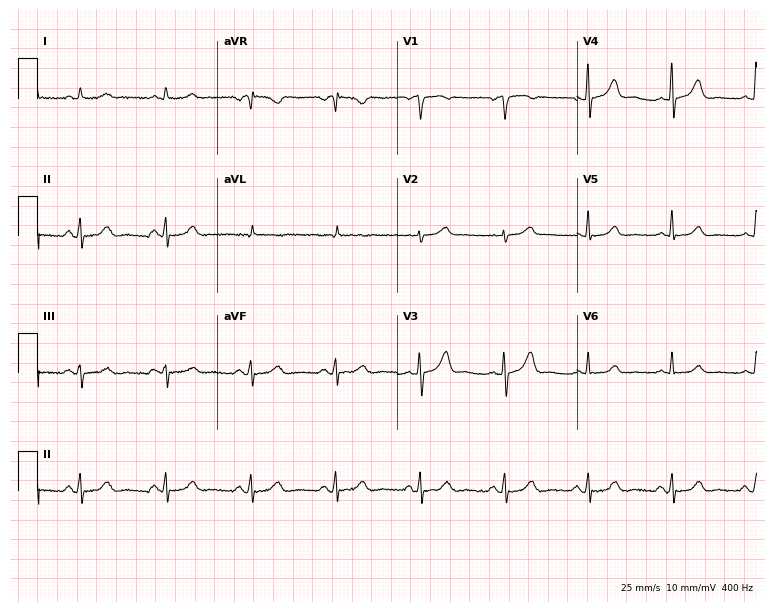
Electrocardiogram, a male patient, 70 years old. Of the six screened findings (first-degree AV block, right bundle branch block (RBBB), left bundle branch block (LBBB), sinus bradycardia, atrial fibrillation (AF), sinus tachycardia), none is recorded.